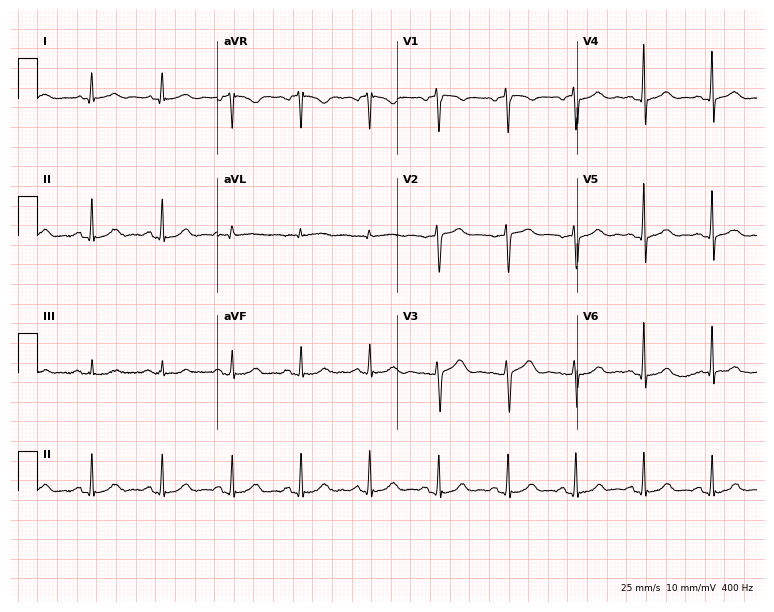
ECG (7.3-second recording at 400 Hz) — a 65-year-old female patient. Labelled as a normal ECG.